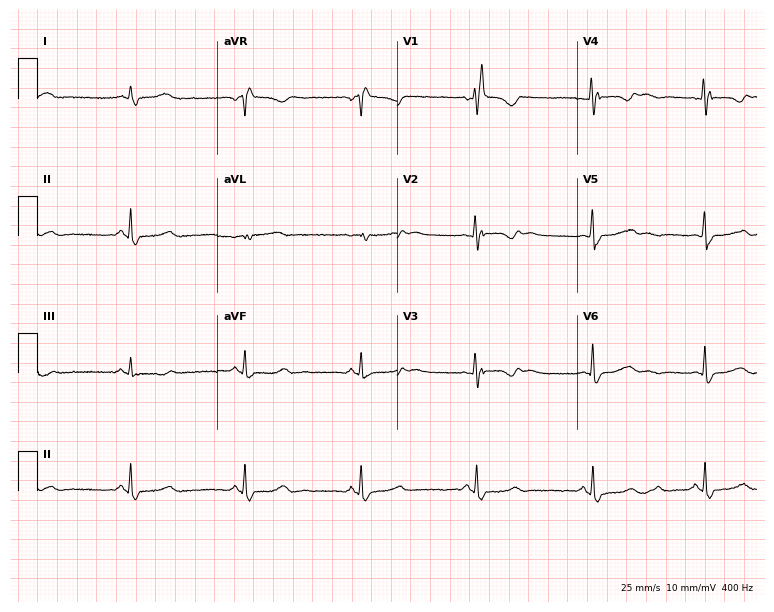
Electrocardiogram (7.3-second recording at 400 Hz), a 56-year-old woman. Interpretation includes right bundle branch block.